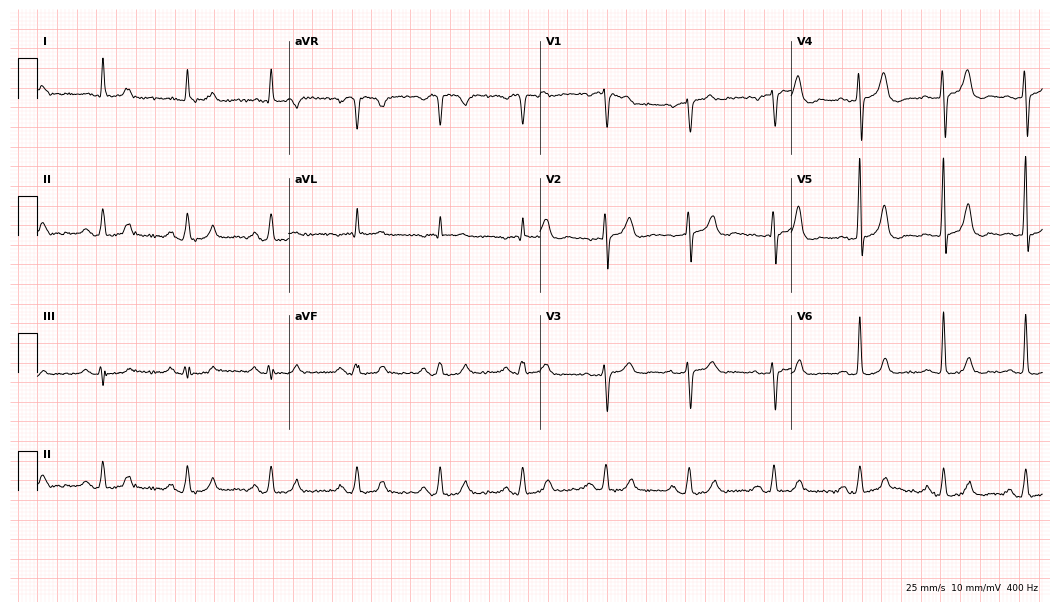
12-lead ECG from a man, 82 years old. Labelled as a normal ECG.